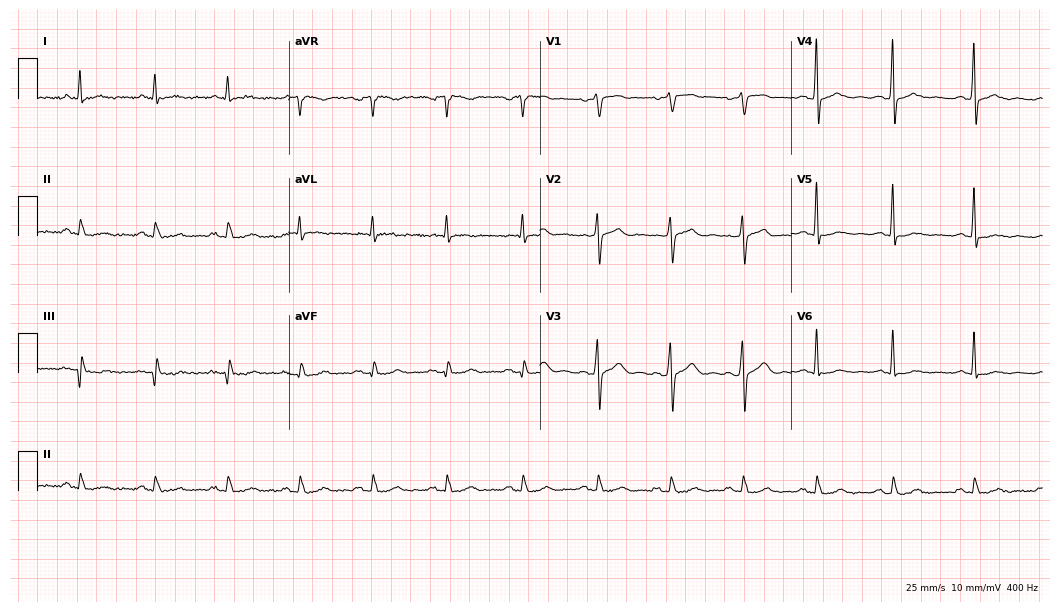
12-lead ECG from a man, 68 years old. No first-degree AV block, right bundle branch block, left bundle branch block, sinus bradycardia, atrial fibrillation or sinus tachycardia recorded for this tracing. Only these six findings were labelled.